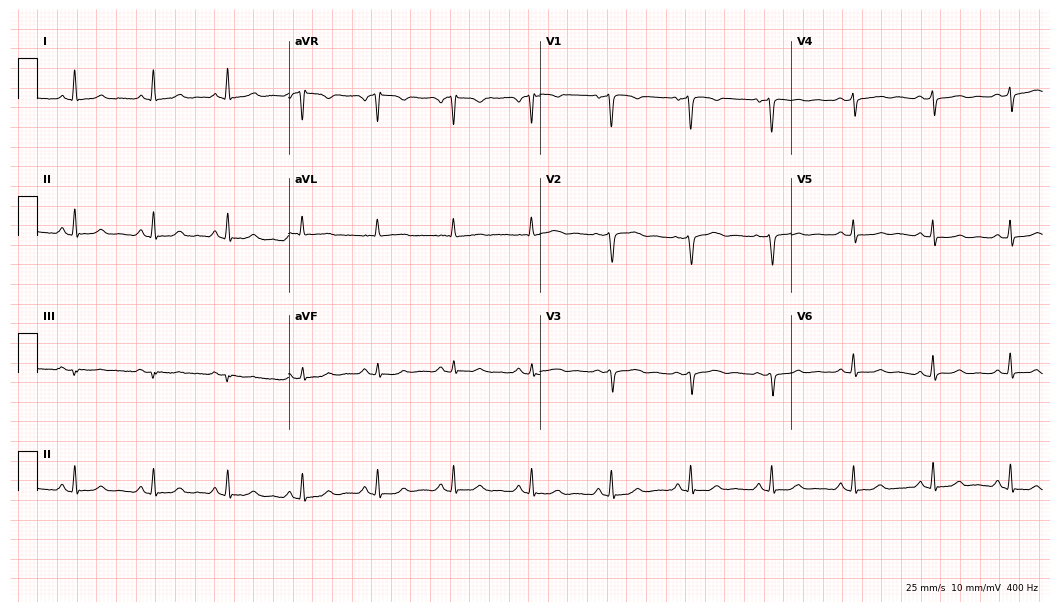
12-lead ECG from a 54-year-old woman. Recorded interpretation: within normal limits.